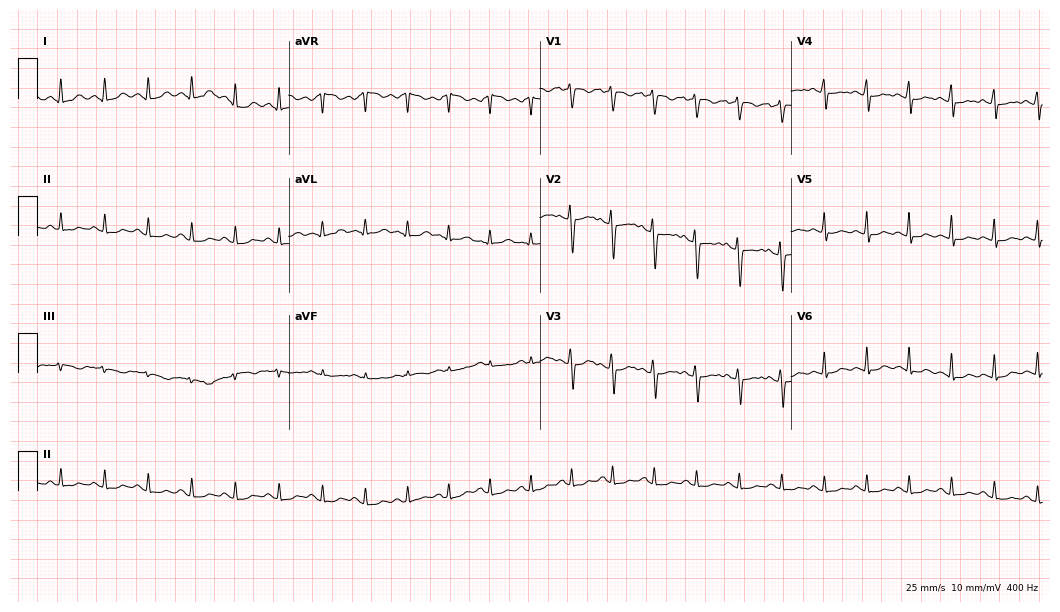
Electrocardiogram, a 26-year-old woman. Interpretation includes sinus tachycardia (a sinus rate of 100 beats per minute or more).